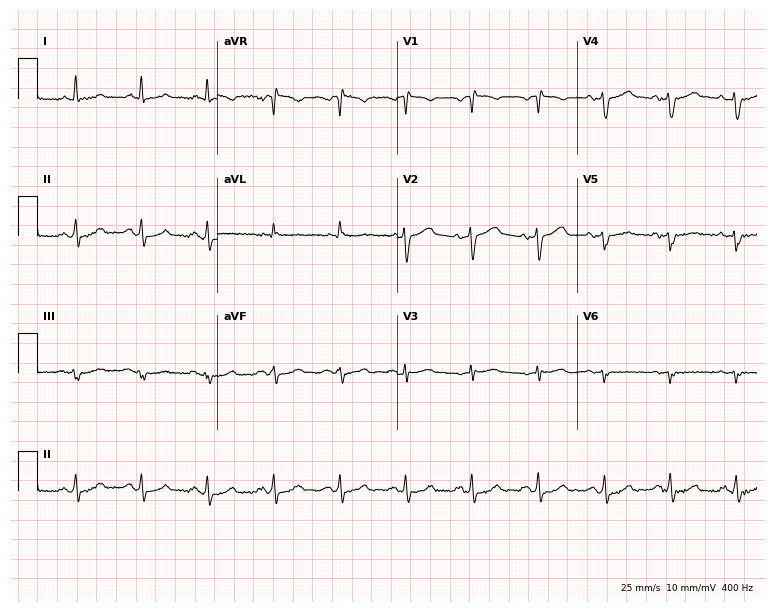
12-lead ECG from a 56-year-old male patient. No first-degree AV block, right bundle branch block, left bundle branch block, sinus bradycardia, atrial fibrillation or sinus tachycardia recorded for this tracing.